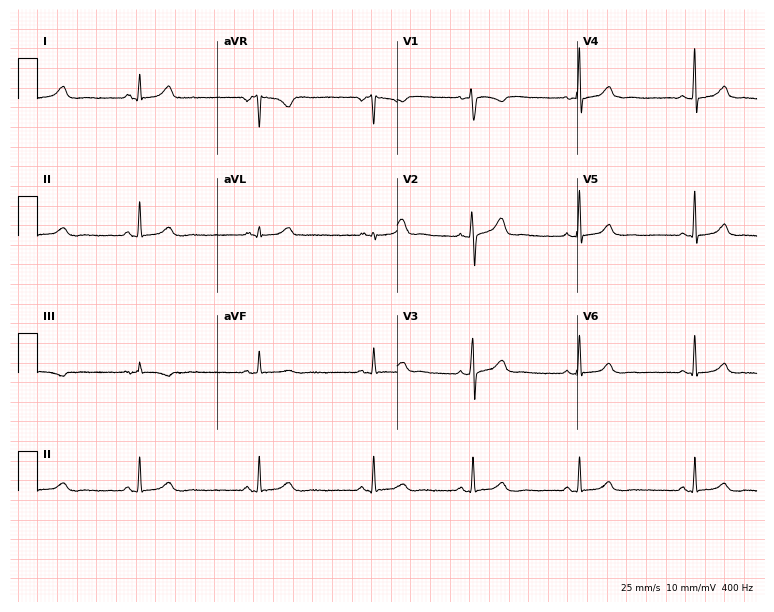
Electrocardiogram (7.3-second recording at 400 Hz), a female, 51 years old. Overall reading on record: normal ECG.